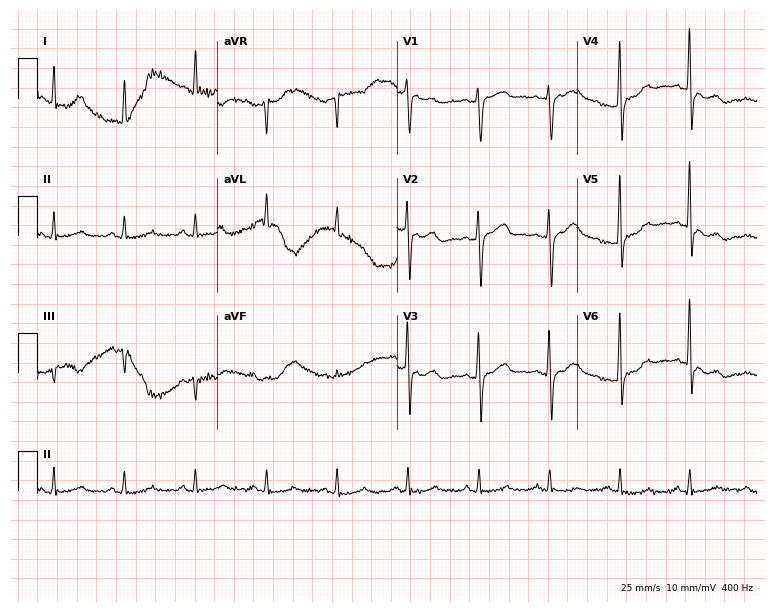
12-lead ECG from a 56-year-old female patient (7.3-second recording at 400 Hz). No first-degree AV block, right bundle branch block (RBBB), left bundle branch block (LBBB), sinus bradycardia, atrial fibrillation (AF) or sinus tachycardia recorded for this tracing.